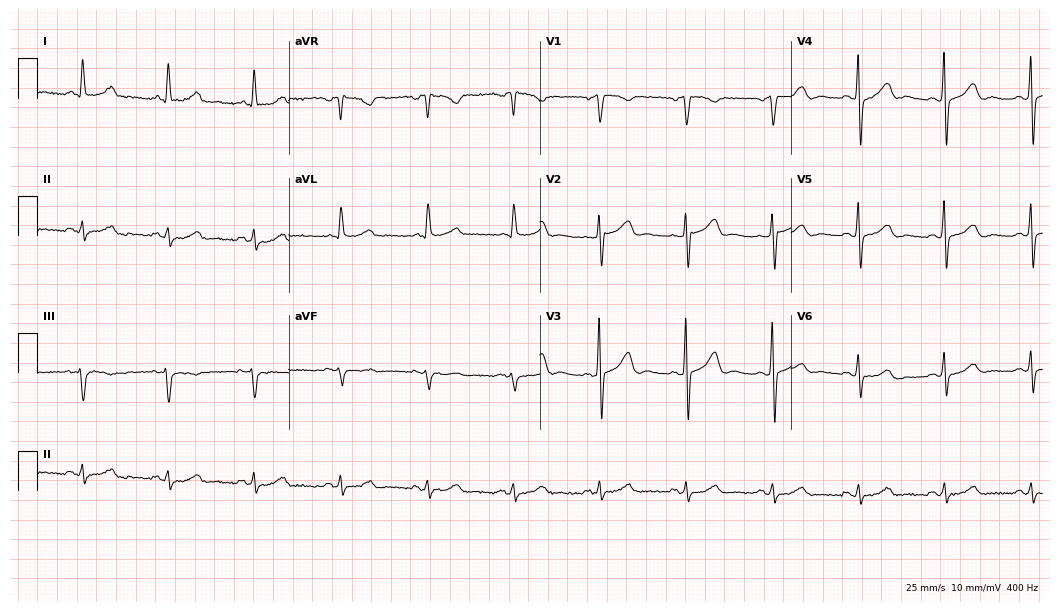
12-lead ECG from a 72-year-old male. Labelled as a normal ECG.